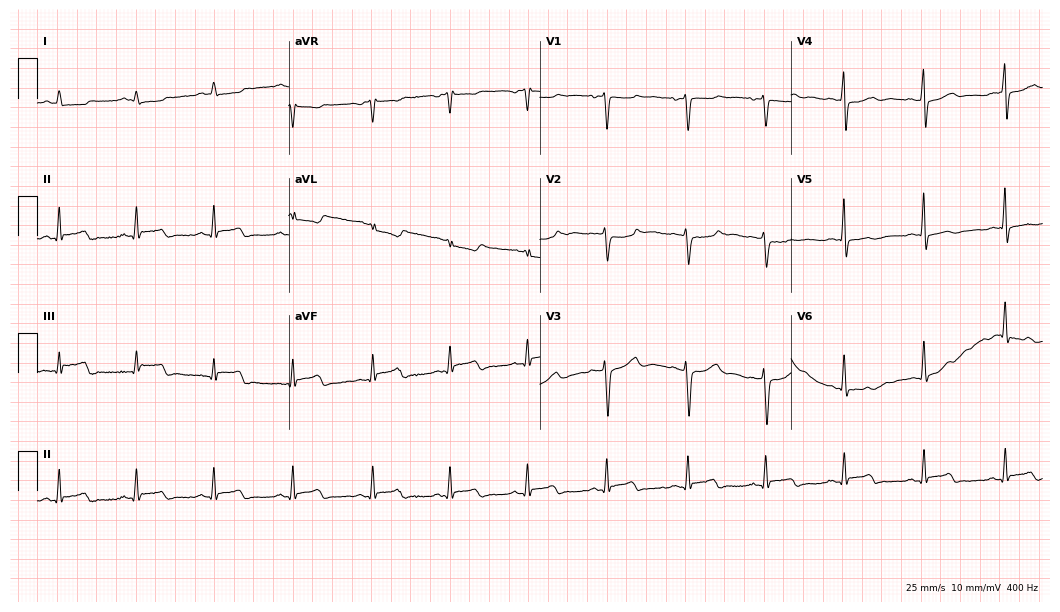
12-lead ECG from a 53-year-old female patient (10.2-second recording at 400 Hz). No first-degree AV block, right bundle branch block, left bundle branch block, sinus bradycardia, atrial fibrillation or sinus tachycardia recorded for this tracing. Findings outside these six are not listed.